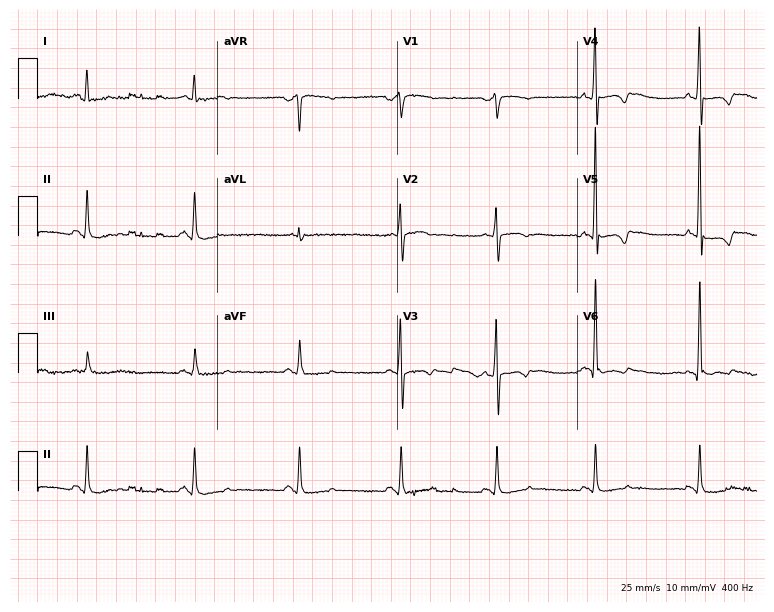
12-lead ECG from a male, 48 years old. Screened for six findings — first-degree AV block, right bundle branch block, left bundle branch block, sinus bradycardia, atrial fibrillation, sinus tachycardia — none is recorded. Other findings, if any, are not listed.